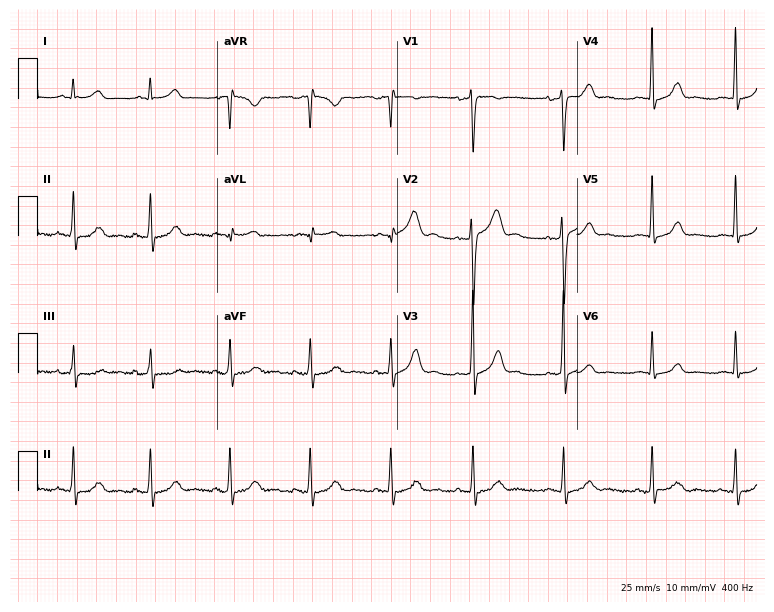
Resting 12-lead electrocardiogram. Patient: a male, 28 years old. None of these six findings is recorded: first-degree AV block, right bundle branch block (RBBB), left bundle branch block (LBBB), sinus bradycardia, atrial fibrillation (AF), sinus tachycardia. Findings outside these six are not listed.